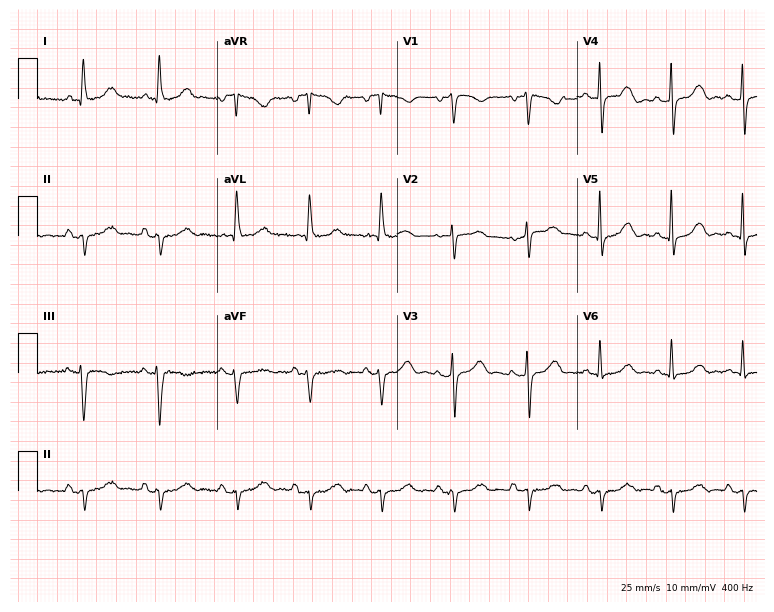
Electrocardiogram, an 81-year-old female. Of the six screened findings (first-degree AV block, right bundle branch block, left bundle branch block, sinus bradycardia, atrial fibrillation, sinus tachycardia), none is recorded. Findings outside these six are not listed.